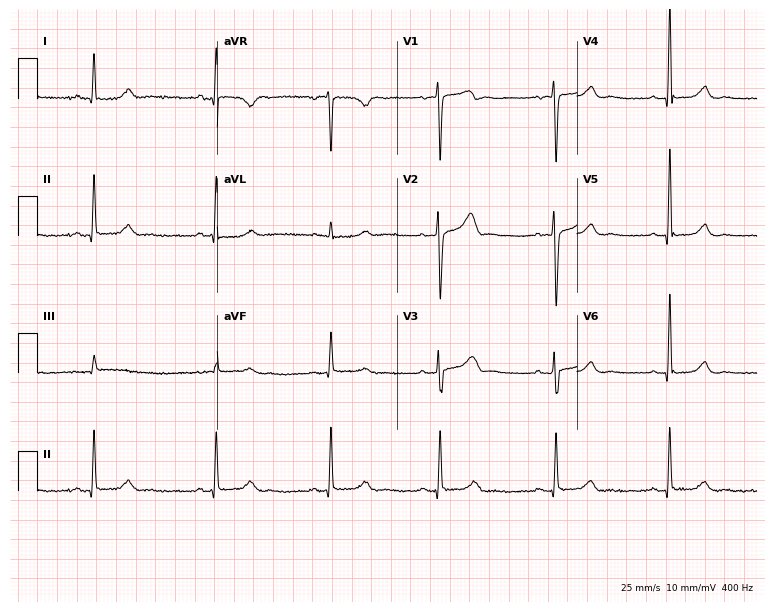
Electrocardiogram, a woman, 58 years old. Overall reading on record: normal ECG.